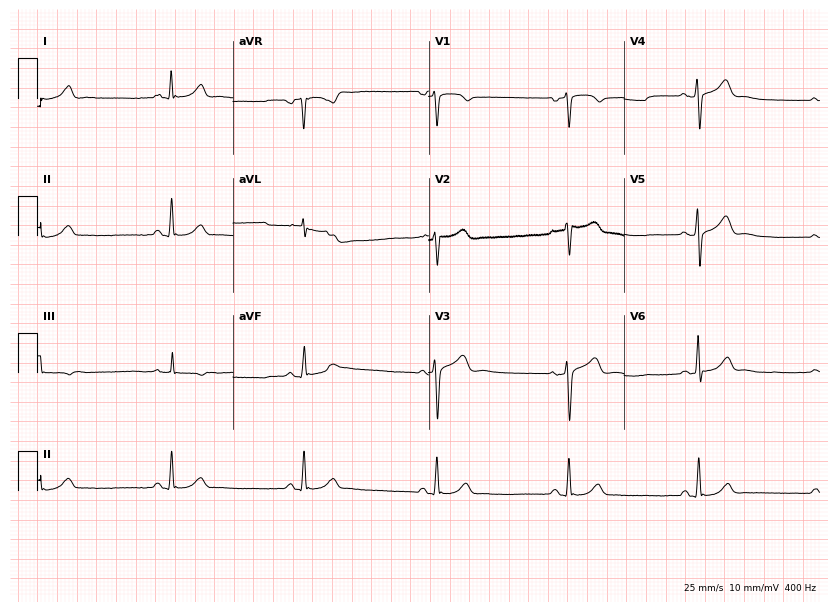
ECG (8-second recording at 400 Hz) — a male patient, 57 years old. Screened for six findings — first-degree AV block, right bundle branch block, left bundle branch block, sinus bradycardia, atrial fibrillation, sinus tachycardia — none is recorded.